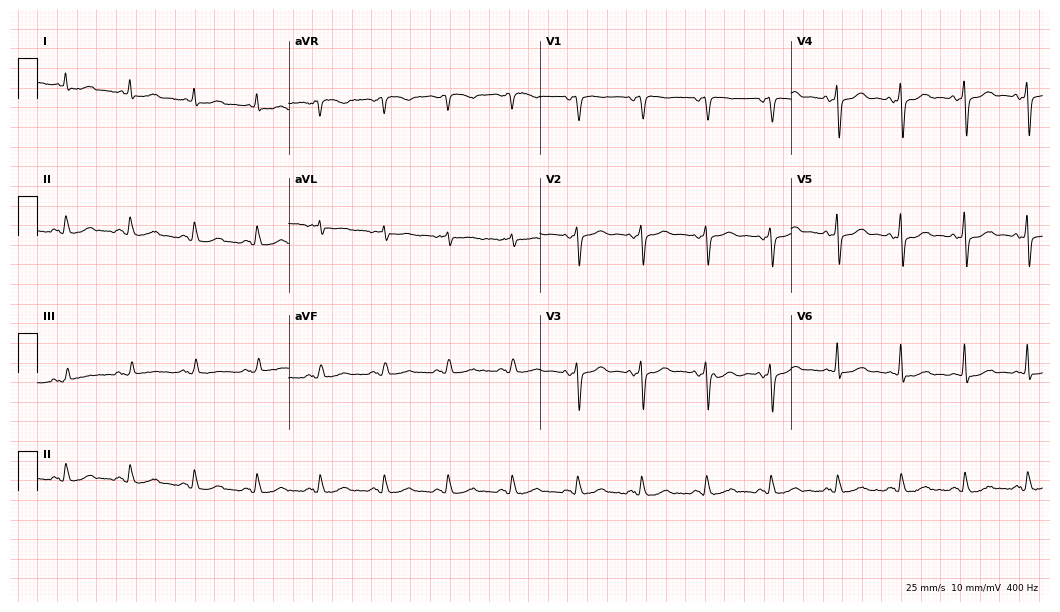
12-lead ECG from a female, 69 years old. Recorded interpretation: within normal limits.